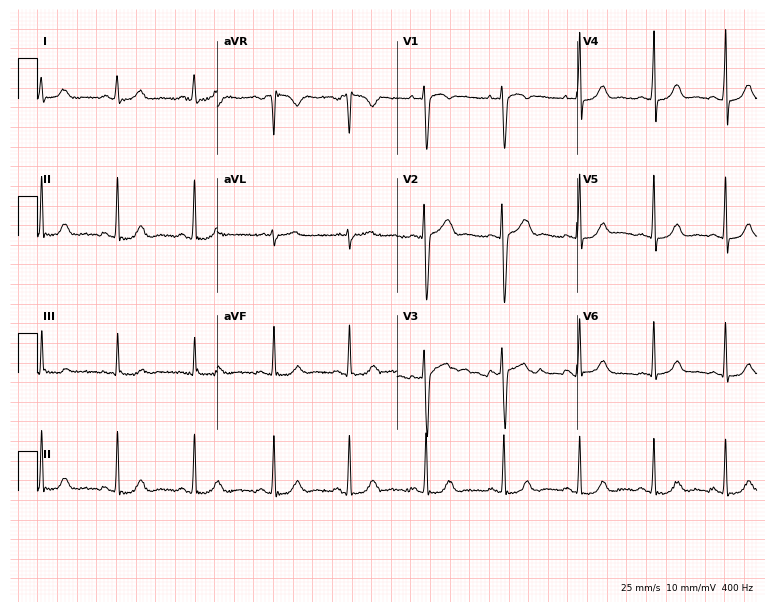
12-lead ECG (7.3-second recording at 400 Hz) from a female patient, 28 years old. Screened for six findings — first-degree AV block, right bundle branch block, left bundle branch block, sinus bradycardia, atrial fibrillation, sinus tachycardia — none is recorded.